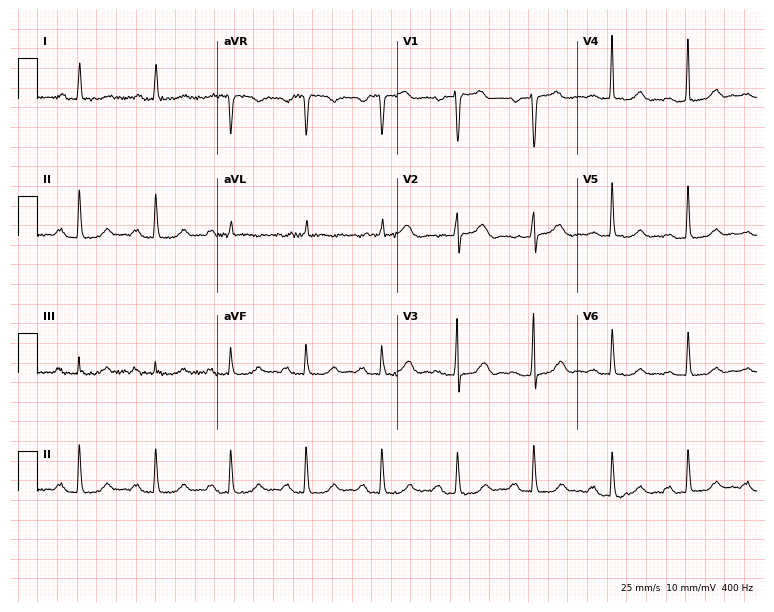
Resting 12-lead electrocardiogram (7.3-second recording at 400 Hz). Patient: an 83-year-old female. None of these six findings is recorded: first-degree AV block, right bundle branch block, left bundle branch block, sinus bradycardia, atrial fibrillation, sinus tachycardia.